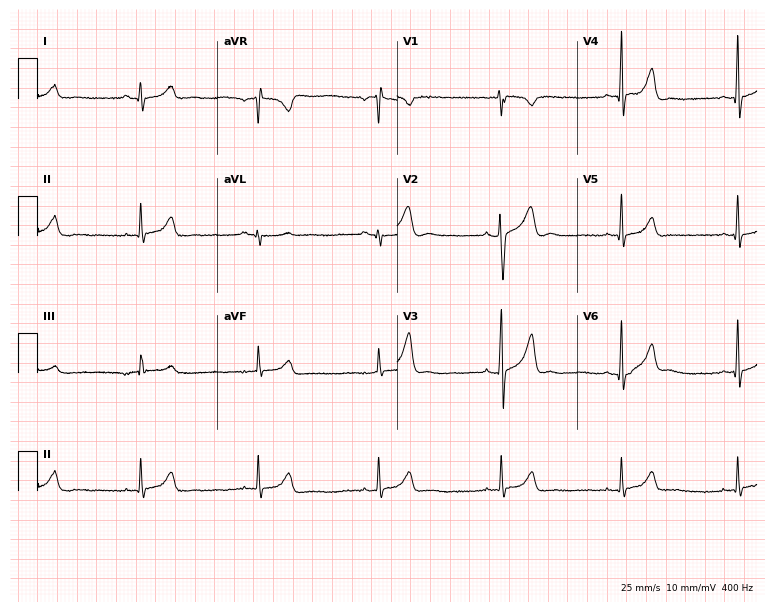
Resting 12-lead electrocardiogram (7.3-second recording at 400 Hz). Patient: a 17-year-old male. The tracing shows sinus bradycardia (a sinus rate of 50 beats per minute or less).